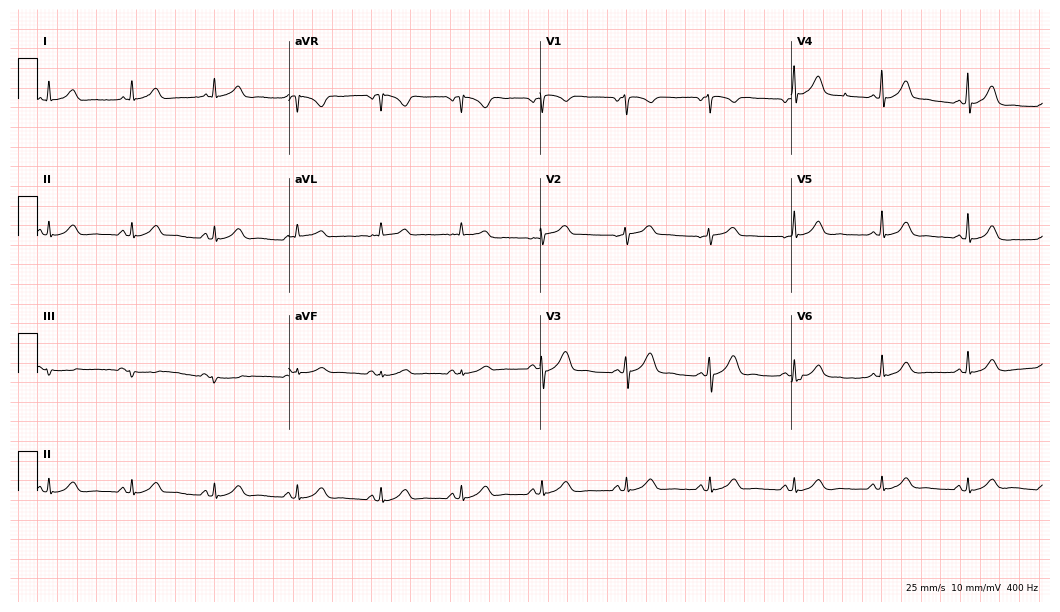
Electrocardiogram, a female, 48 years old. Overall reading on record: normal ECG.